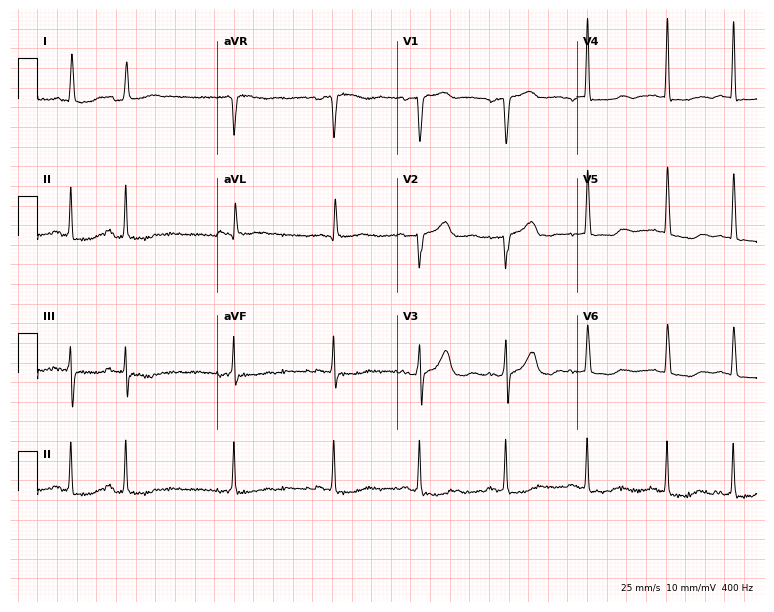
Electrocardiogram, an 85-year-old male patient. Of the six screened findings (first-degree AV block, right bundle branch block, left bundle branch block, sinus bradycardia, atrial fibrillation, sinus tachycardia), none is recorded.